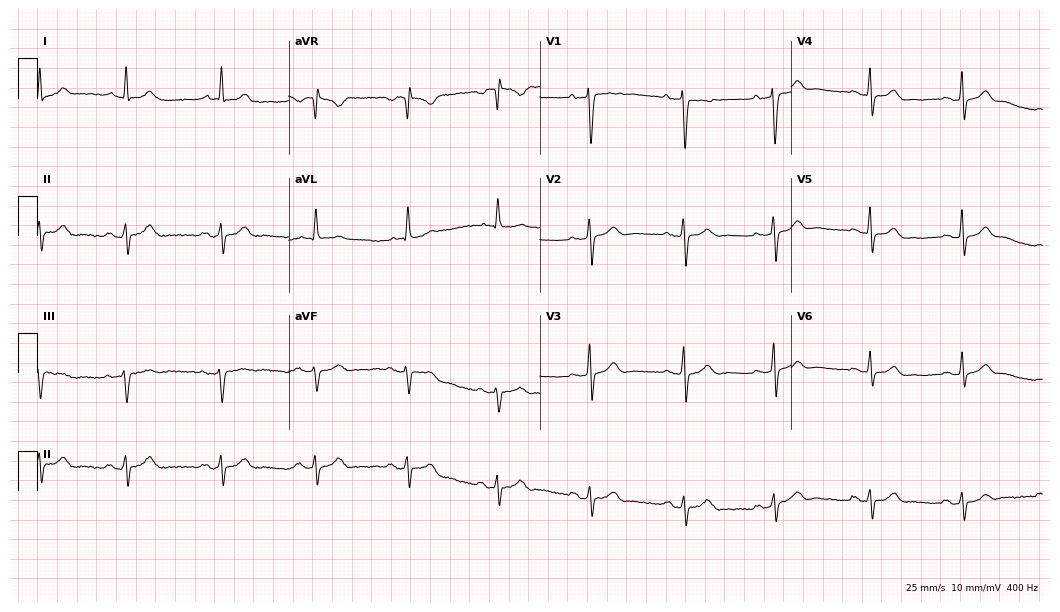
12-lead ECG (10.2-second recording at 400 Hz) from a 72-year-old woman. Screened for six findings — first-degree AV block, right bundle branch block, left bundle branch block, sinus bradycardia, atrial fibrillation, sinus tachycardia — none is recorded.